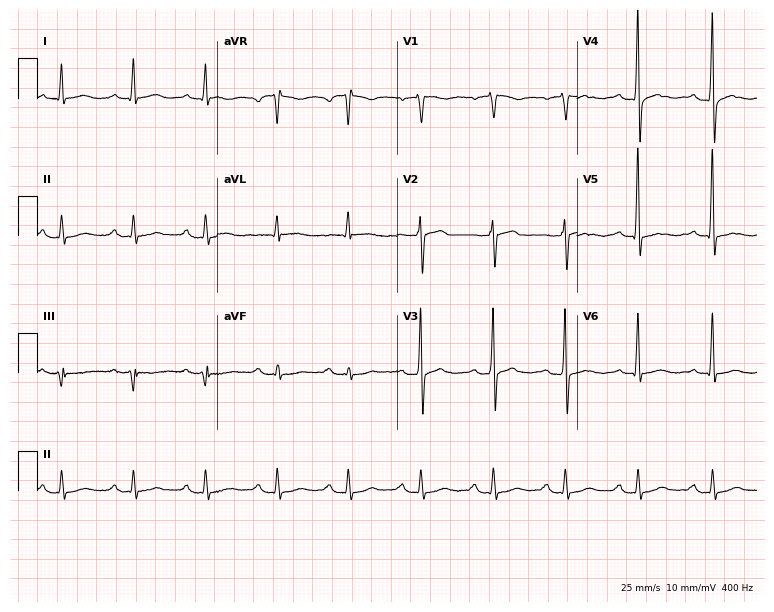
Resting 12-lead electrocardiogram (7.3-second recording at 400 Hz). Patient: a 65-year-old man. Read as a normal ECG.